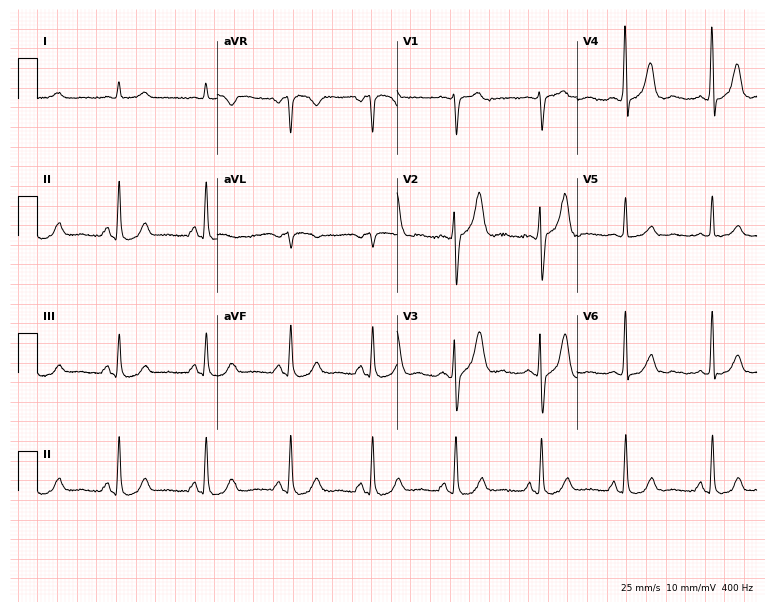
Resting 12-lead electrocardiogram (7.3-second recording at 400 Hz). Patient: a male, 79 years old. Read as a normal ECG.